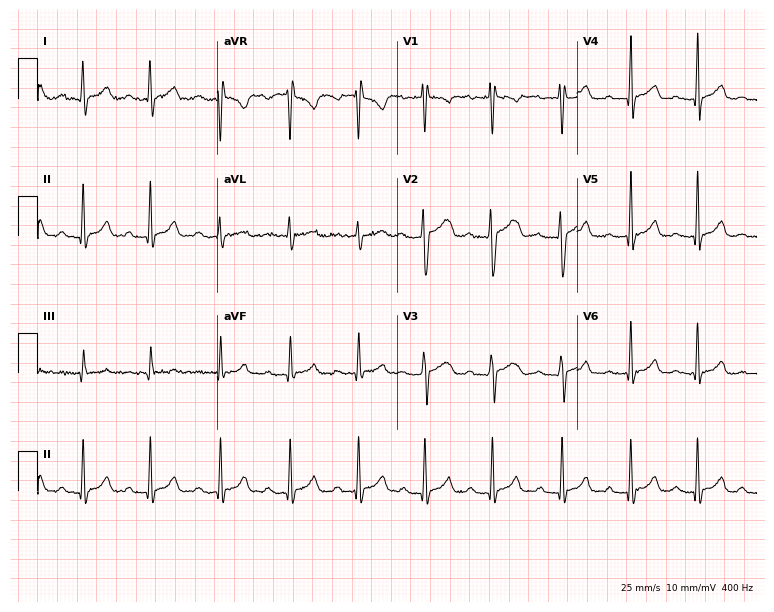
12-lead ECG from a female patient, 17 years old (7.3-second recording at 400 Hz). Shows first-degree AV block.